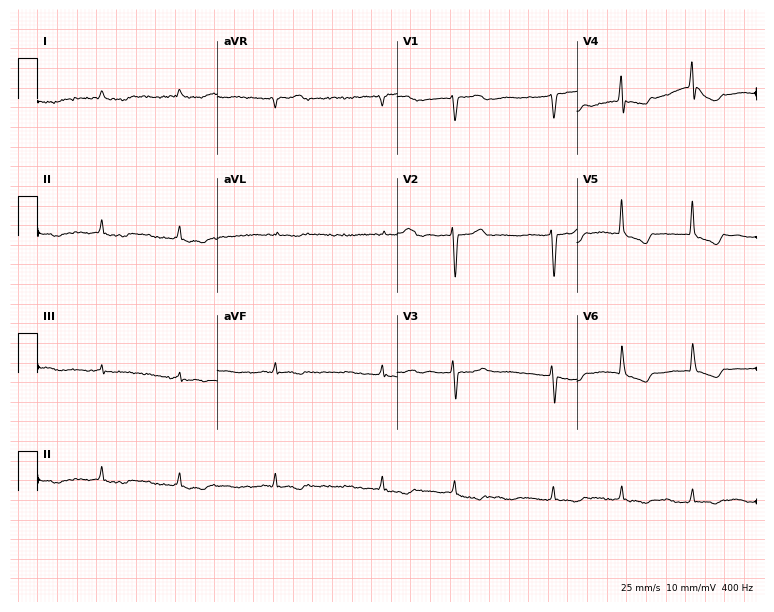
12-lead ECG from a woman, 75 years old (7.3-second recording at 400 Hz). No first-degree AV block, right bundle branch block, left bundle branch block, sinus bradycardia, atrial fibrillation or sinus tachycardia recorded for this tracing.